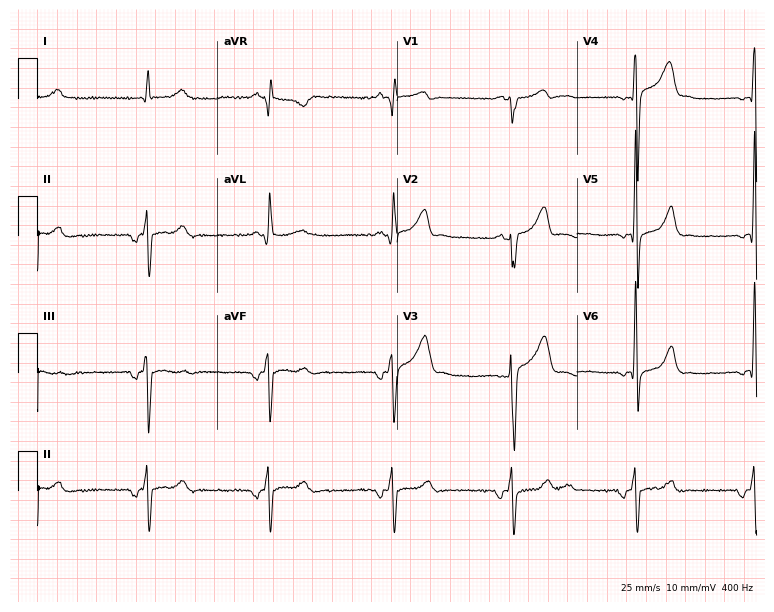
Electrocardiogram, a male, 63 years old. Of the six screened findings (first-degree AV block, right bundle branch block (RBBB), left bundle branch block (LBBB), sinus bradycardia, atrial fibrillation (AF), sinus tachycardia), none is recorded. Findings outside these six are not listed.